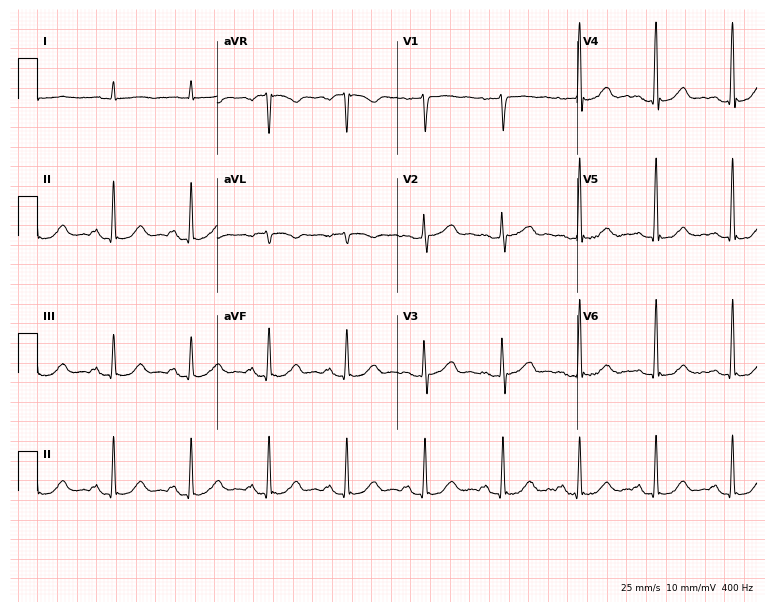
12-lead ECG from a male, 81 years old. Screened for six findings — first-degree AV block, right bundle branch block, left bundle branch block, sinus bradycardia, atrial fibrillation, sinus tachycardia — none is recorded. Findings outside these six are not listed.